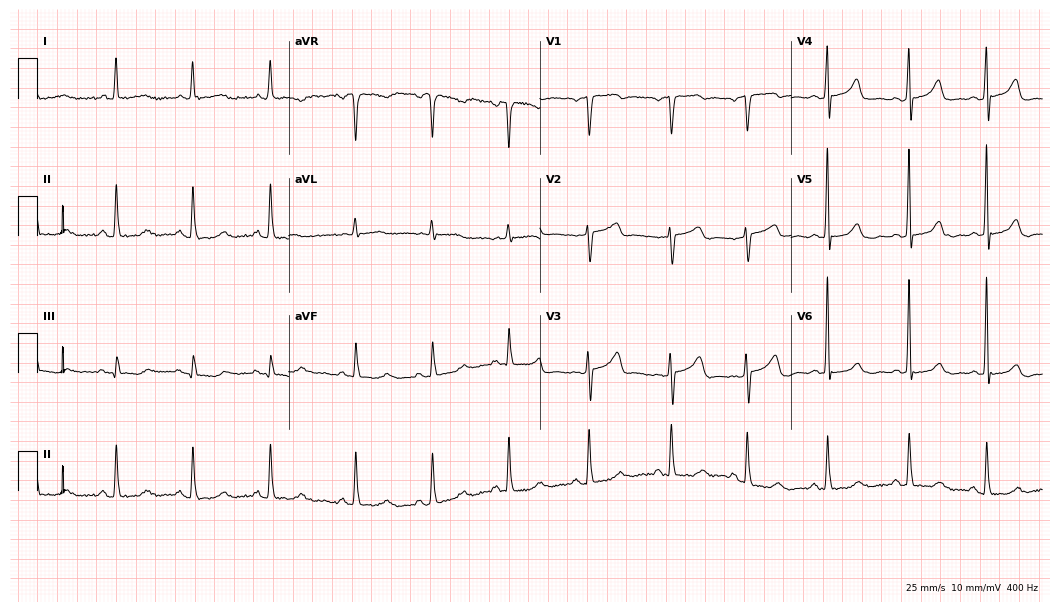
12-lead ECG from a female, 58 years old. Labelled as a normal ECG.